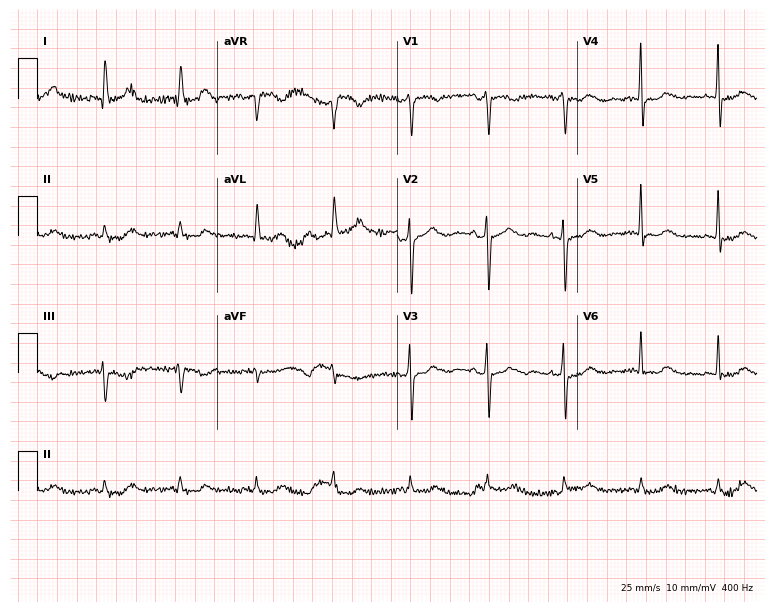
12-lead ECG (7.3-second recording at 400 Hz) from a female, 73 years old. Screened for six findings — first-degree AV block, right bundle branch block (RBBB), left bundle branch block (LBBB), sinus bradycardia, atrial fibrillation (AF), sinus tachycardia — none is recorded. Findings outside these six are not listed.